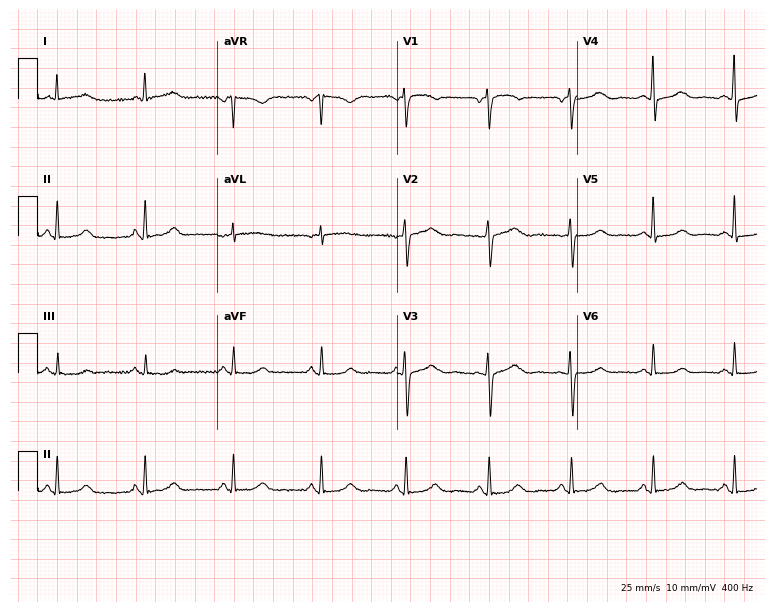
Standard 12-lead ECG recorded from a female patient, 60 years old (7.3-second recording at 400 Hz). Read as a normal ECG.